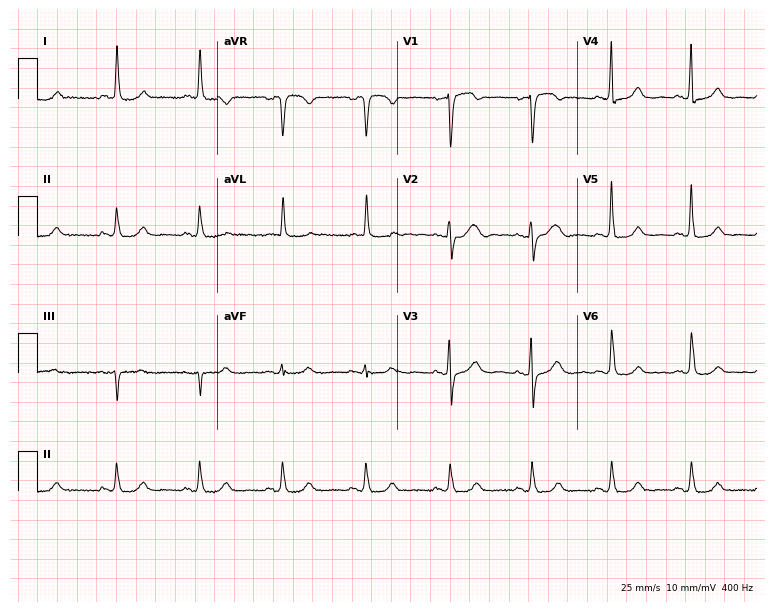
12-lead ECG from a 69-year-old female. Recorded interpretation: within normal limits.